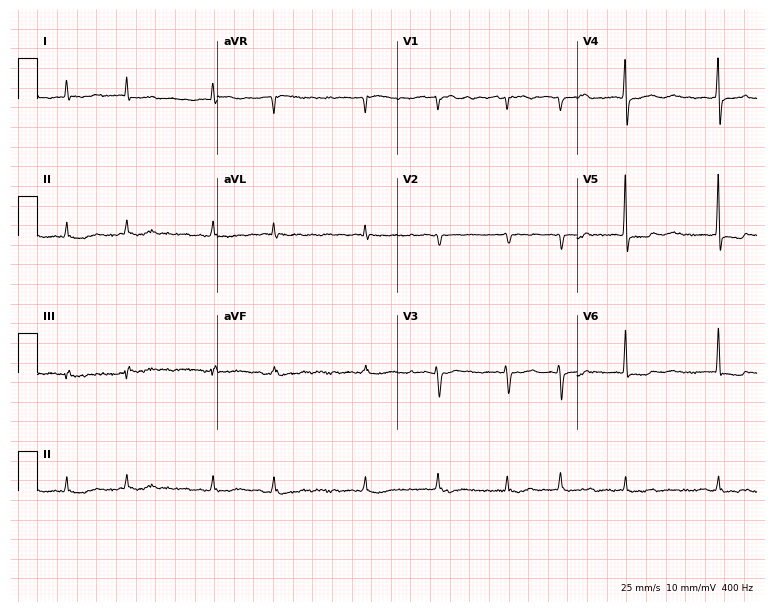
12-lead ECG from a 76-year-old female (7.3-second recording at 400 Hz). Shows atrial fibrillation (AF).